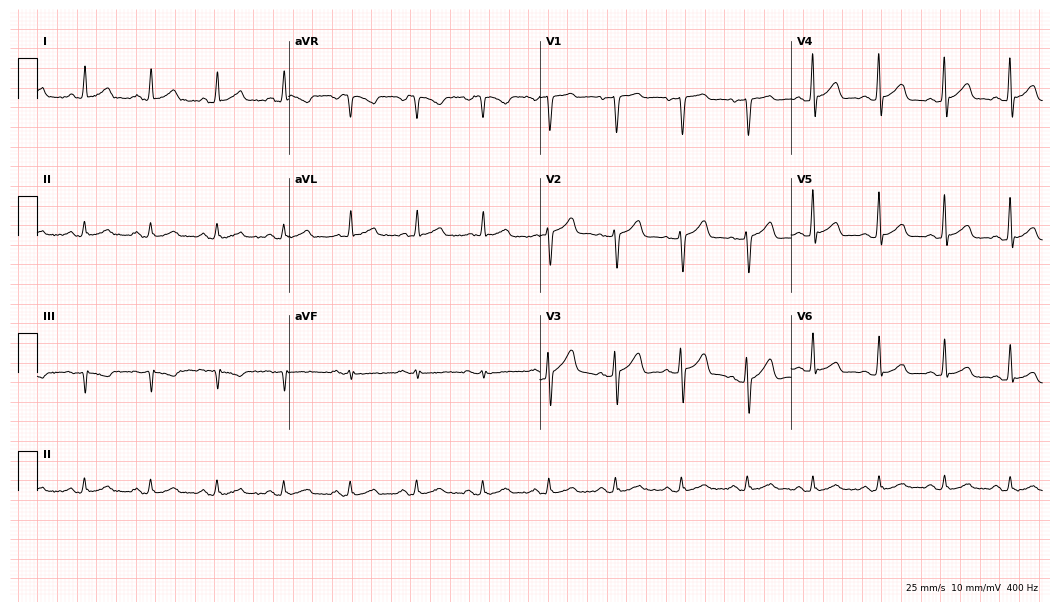
Standard 12-lead ECG recorded from a 48-year-old man (10.2-second recording at 400 Hz). Read as a normal ECG.